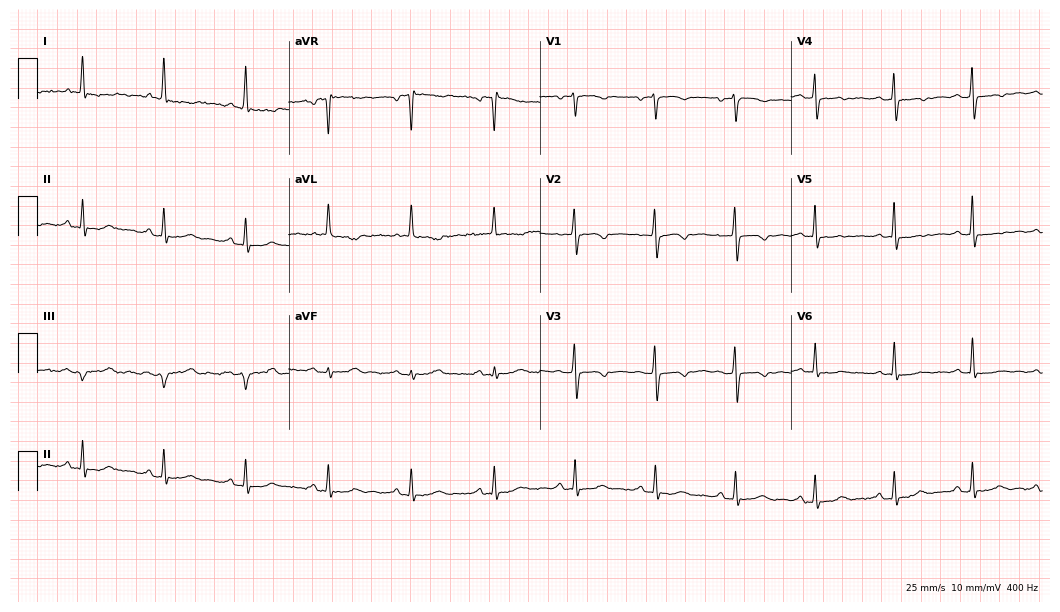
ECG (10.2-second recording at 400 Hz) — a woman, 70 years old. Screened for six findings — first-degree AV block, right bundle branch block (RBBB), left bundle branch block (LBBB), sinus bradycardia, atrial fibrillation (AF), sinus tachycardia — none is recorded.